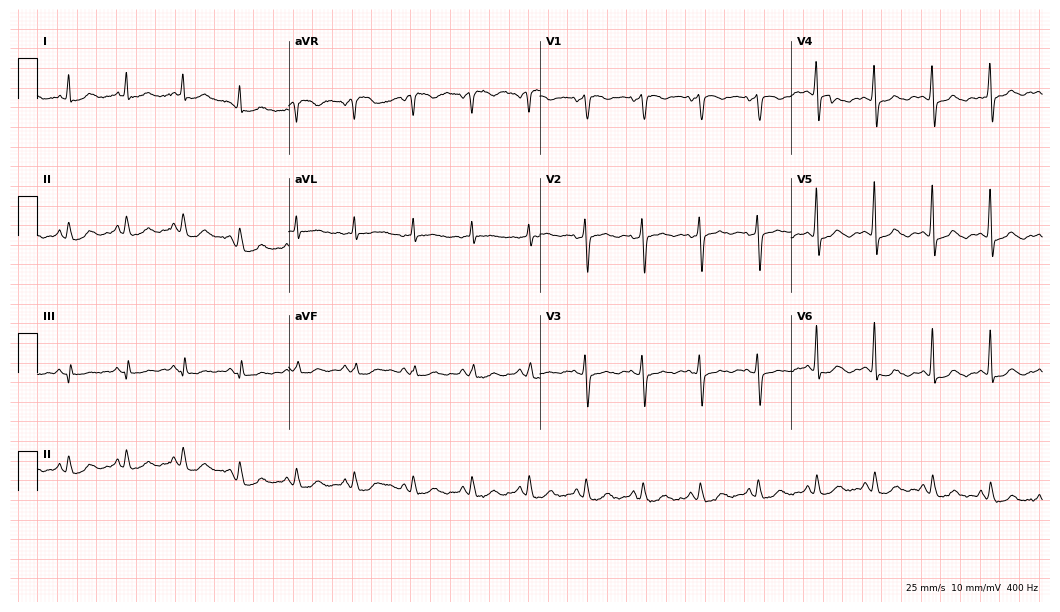
Standard 12-lead ECG recorded from a female, 75 years old. The tracing shows sinus tachycardia (a sinus rate of 100 beats per minute or more).